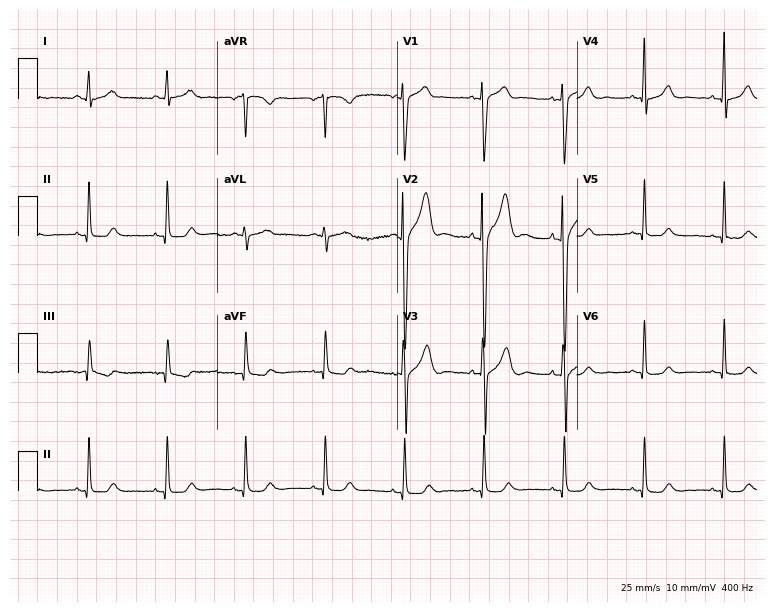
ECG (7.3-second recording at 400 Hz) — a male patient, 55 years old. Labelled as a normal ECG.